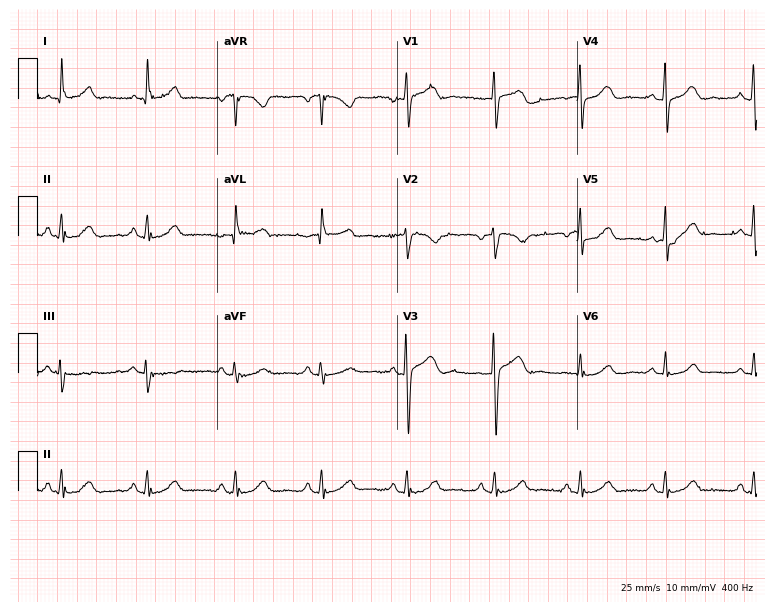
ECG — a female patient, 55 years old. Labelled as a normal ECG.